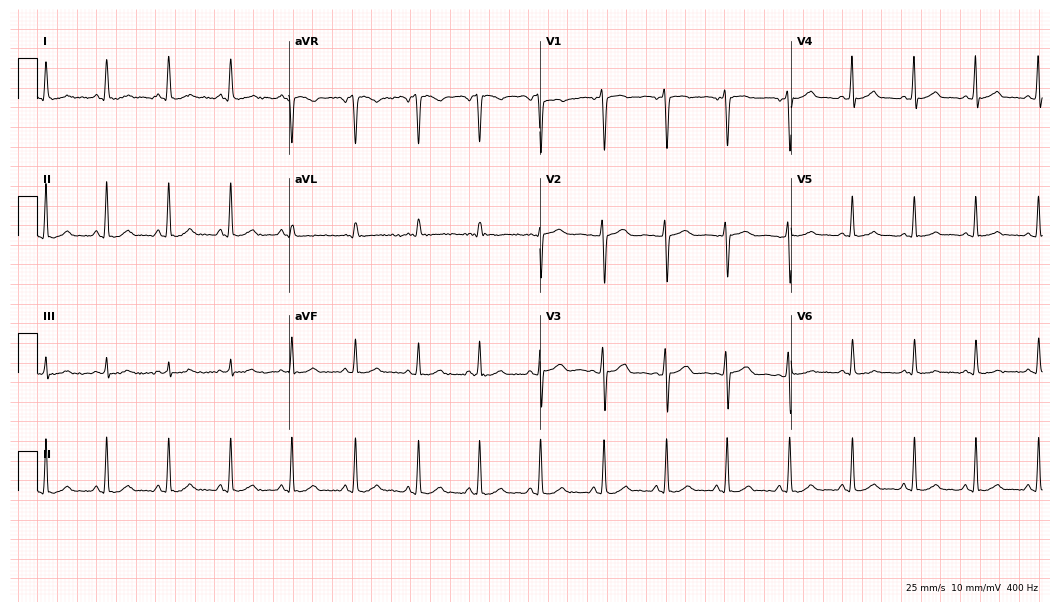
Electrocardiogram (10.2-second recording at 400 Hz), a female, 19 years old. Overall reading on record: normal ECG.